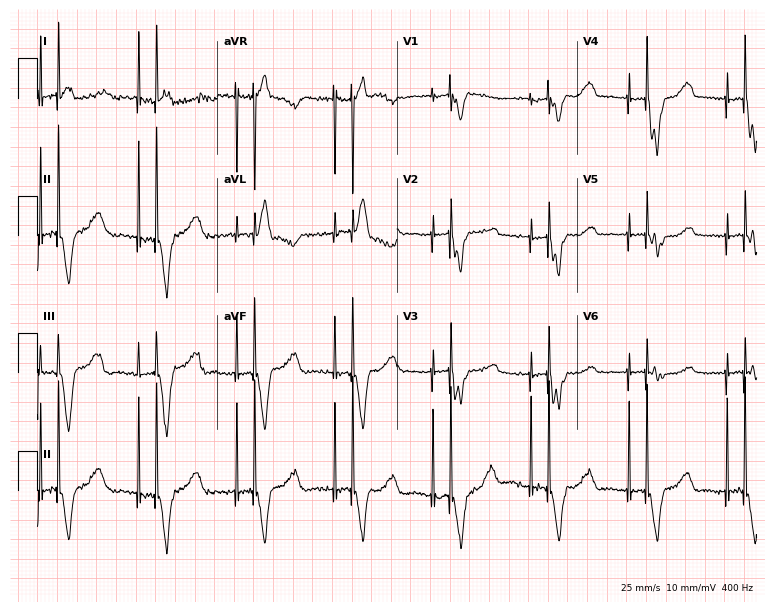
Standard 12-lead ECG recorded from a female patient, 66 years old (7.3-second recording at 400 Hz). None of these six findings is recorded: first-degree AV block, right bundle branch block (RBBB), left bundle branch block (LBBB), sinus bradycardia, atrial fibrillation (AF), sinus tachycardia.